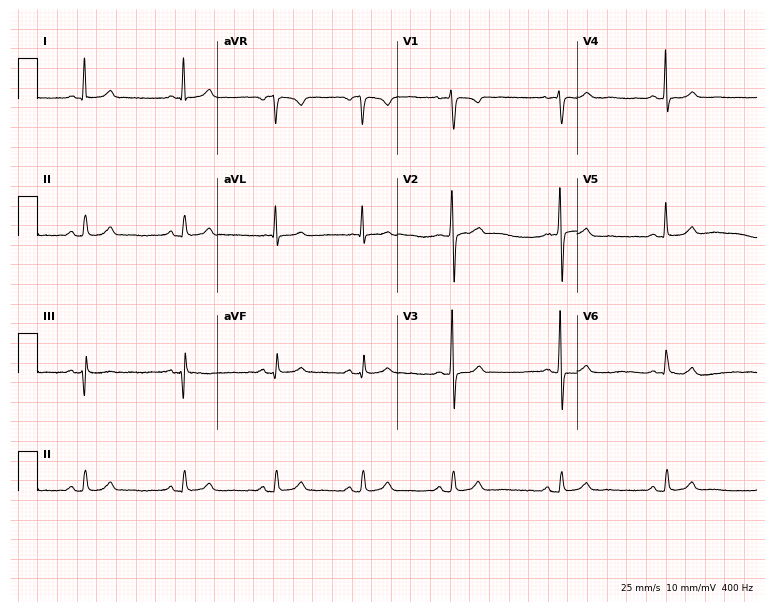
12-lead ECG from a 46-year-old female patient. No first-degree AV block, right bundle branch block (RBBB), left bundle branch block (LBBB), sinus bradycardia, atrial fibrillation (AF) or sinus tachycardia recorded for this tracing. Findings outside these six are not listed.